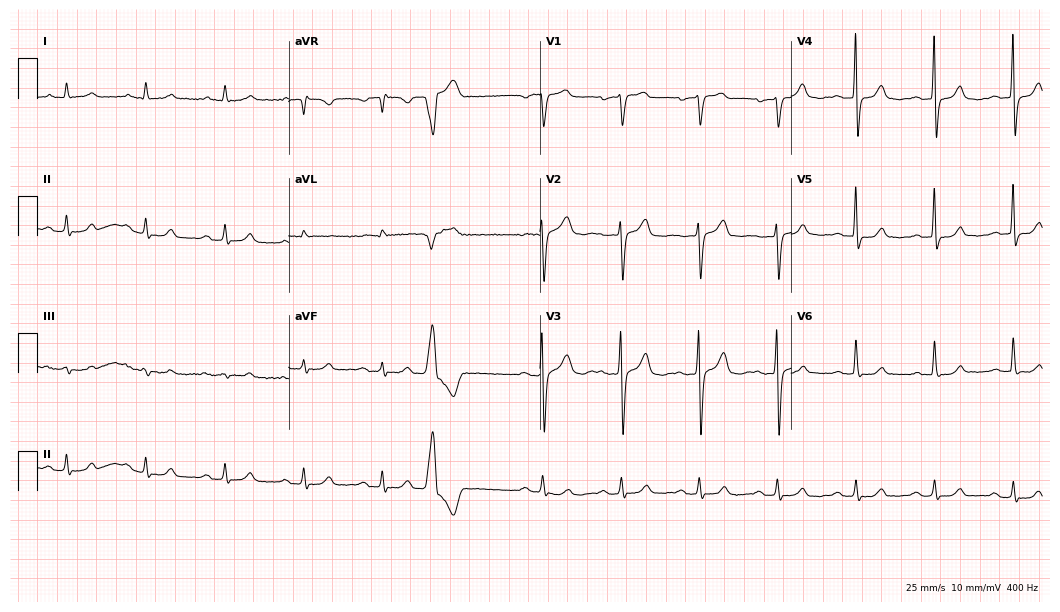
Standard 12-lead ECG recorded from a male, 80 years old (10.2-second recording at 400 Hz). None of these six findings is recorded: first-degree AV block, right bundle branch block, left bundle branch block, sinus bradycardia, atrial fibrillation, sinus tachycardia. Other findings, if any, are not listed.